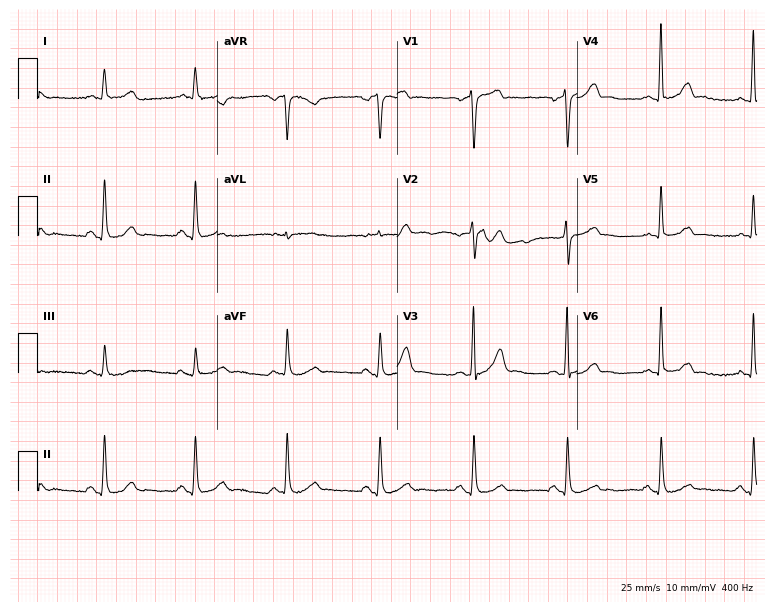
ECG (7.3-second recording at 400 Hz) — a 62-year-old male patient. Screened for six findings — first-degree AV block, right bundle branch block (RBBB), left bundle branch block (LBBB), sinus bradycardia, atrial fibrillation (AF), sinus tachycardia — none is recorded.